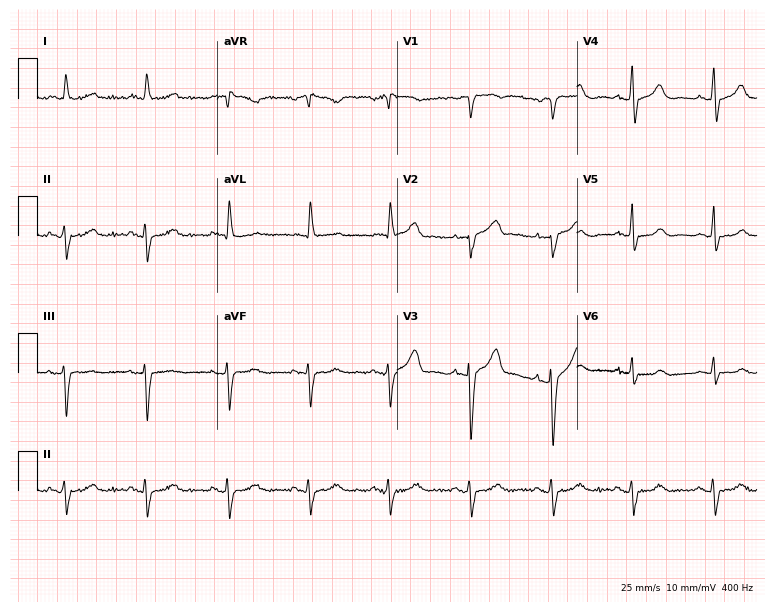
12-lead ECG from an 82-year-old male. Screened for six findings — first-degree AV block, right bundle branch block, left bundle branch block, sinus bradycardia, atrial fibrillation, sinus tachycardia — none is recorded.